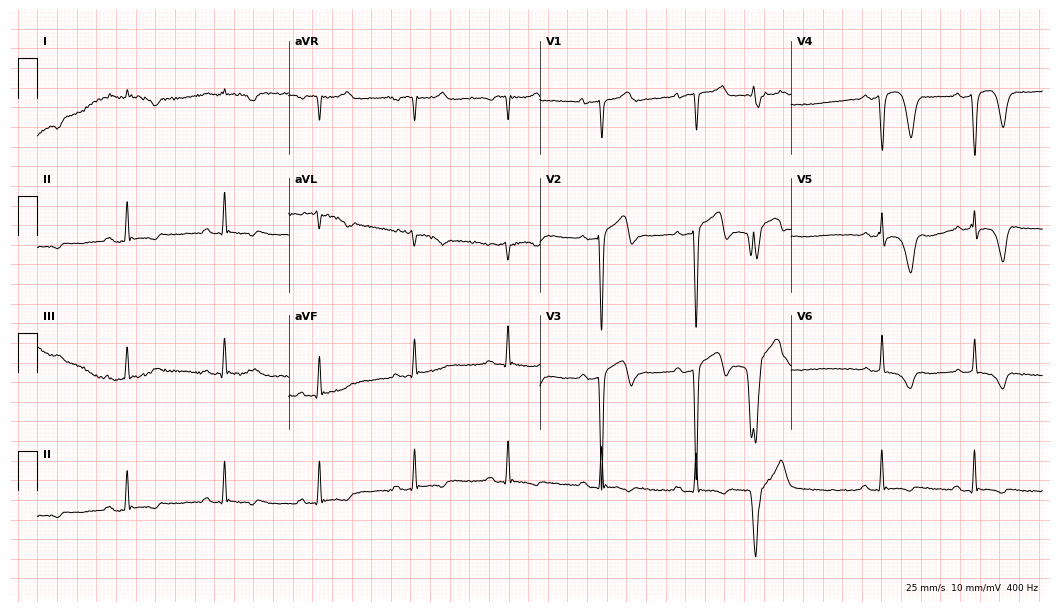
12-lead ECG from a male, 64 years old. Screened for six findings — first-degree AV block, right bundle branch block, left bundle branch block, sinus bradycardia, atrial fibrillation, sinus tachycardia — none is recorded. Other findings, if any, are not listed.